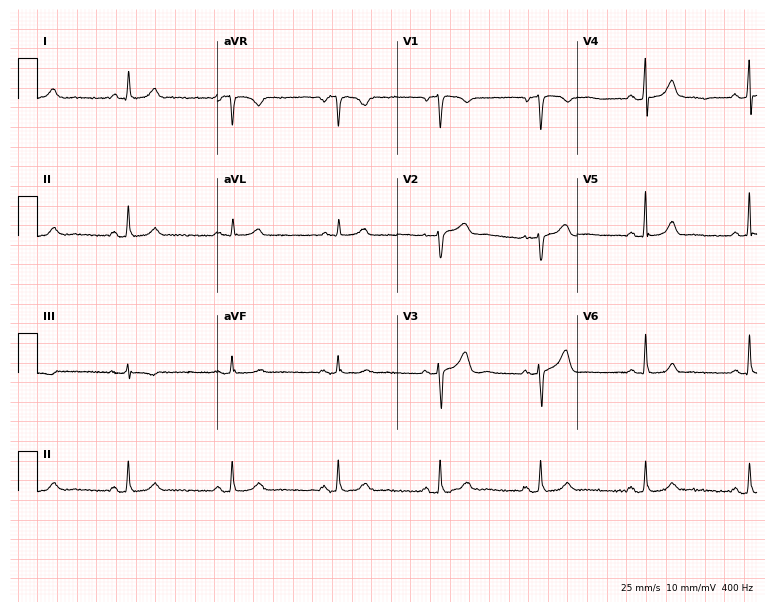
Electrocardiogram (7.3-second recording at 400 Hz), a female, 35 years old. Overall reading on record: normal ECG.